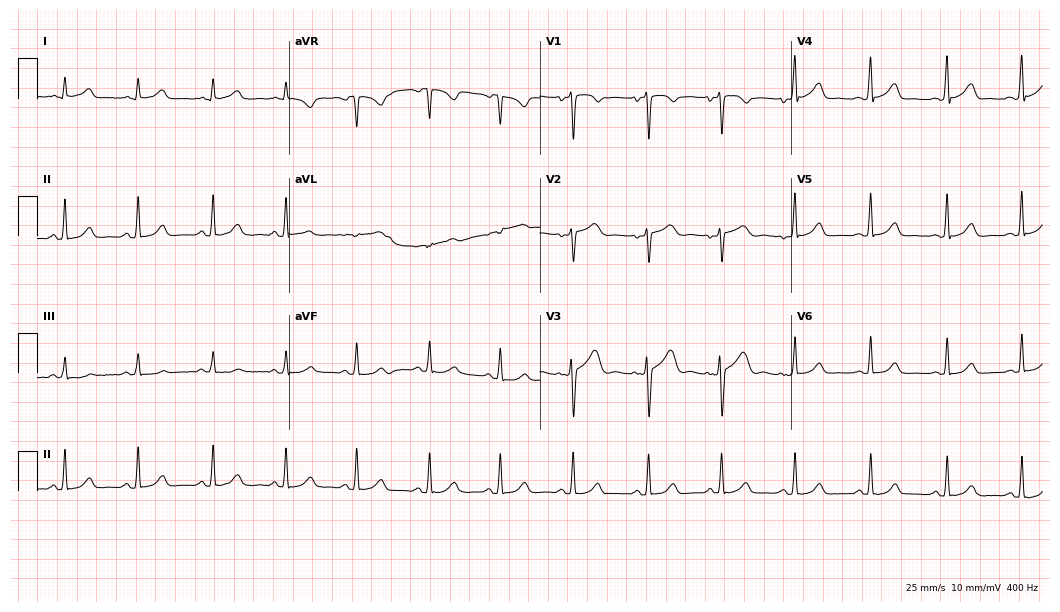
12-lead ECG from a 21-year-old woman. Recorded interpretation: within normal limits.